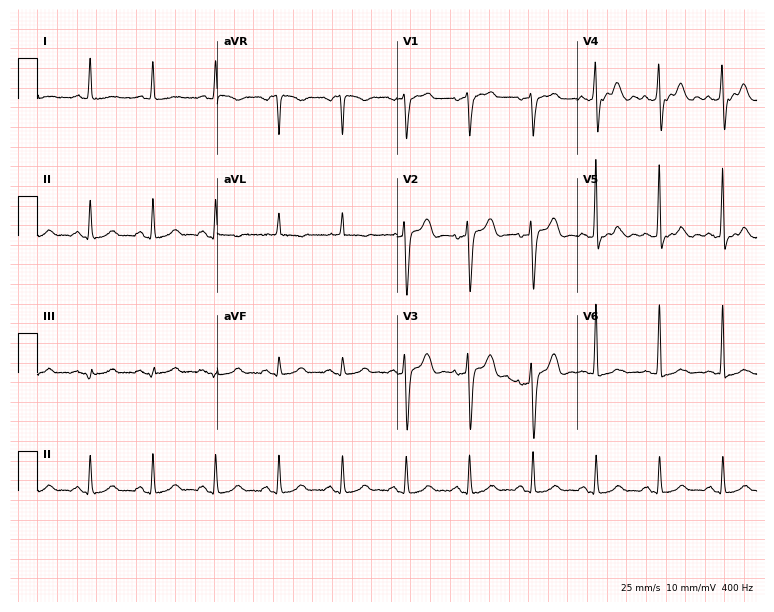
12-lead ECG from a female patient, 65 years old (7.3-second recording at 400 Hz). No first-degree AV block, right bundle branch block, left bundle branch block, sinus bradycardia, atrial fibrillation or sinus tachycardia recorded for this tracing. Findings outside these six are not listed.